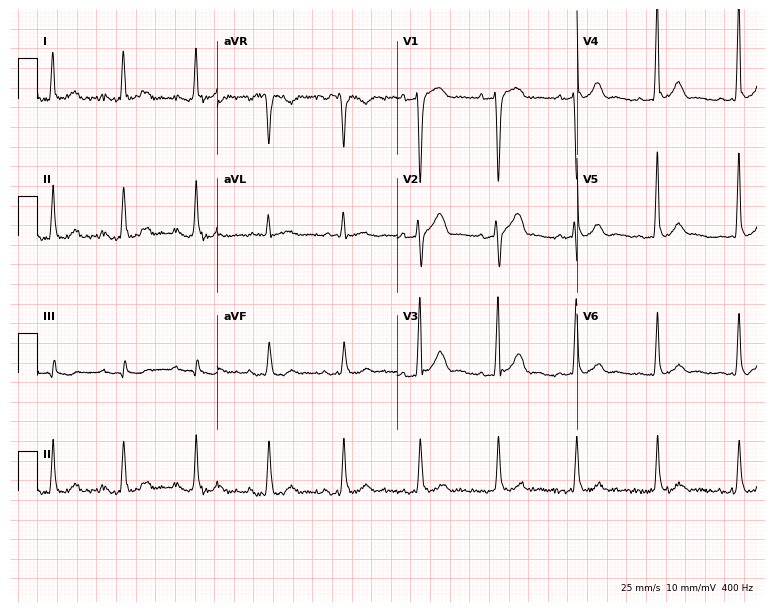
Electrocardiogram, a 79-year-old man. Overall reading on record: normal ECG.